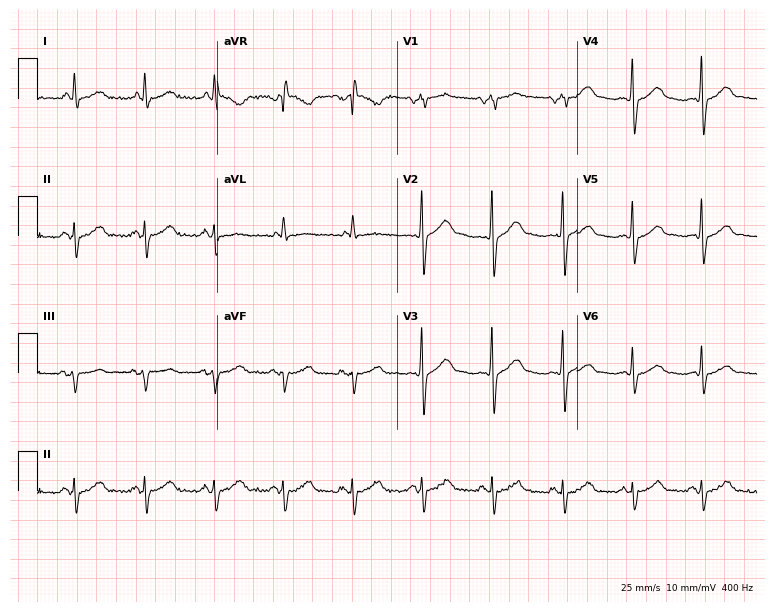
Resting 12-lead electrocardiogram (7.3-second recording at 400 Hz). Patient: a man, 62 years old. None of these six findings is recorded: first-degree AV block, right bundle branch block, left bundle branch block, sinus bradycardia, atrial fibrillation, sinus tachycardia. Findings outside these six are not listed.